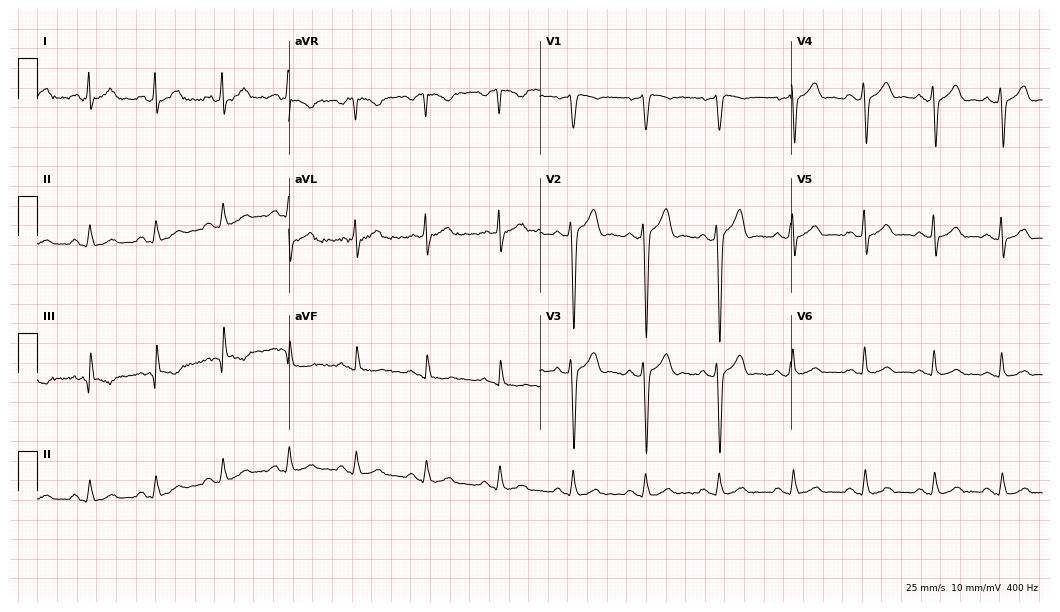
Standard 12-lead ECG recorded from a male patient, 33 years old. Read as a normal ECG.